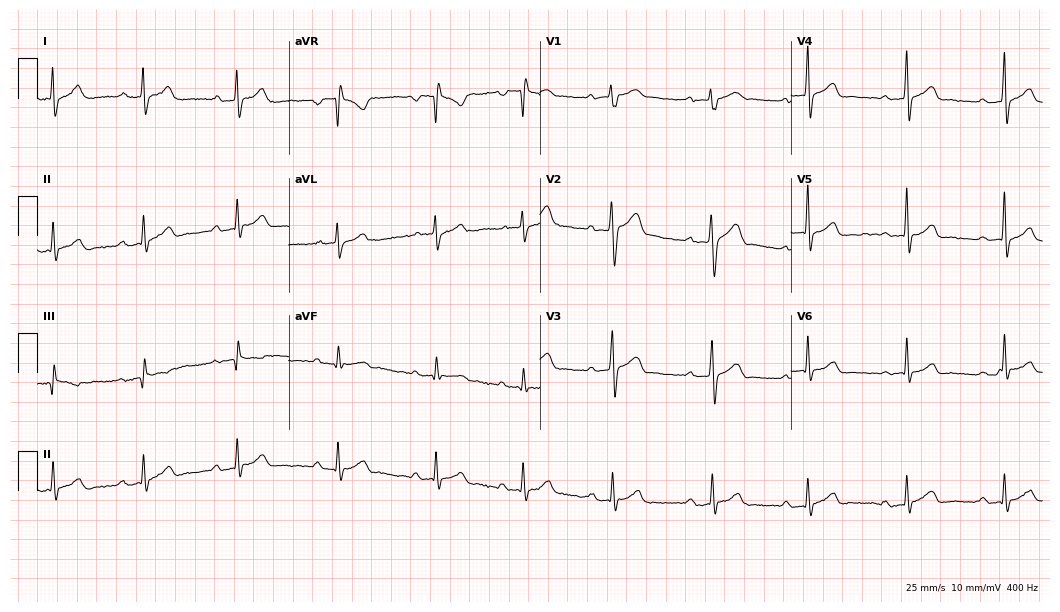
Resting 12-lead electrocardiogram. Patient: a 25-year-old male. Read as a normal ECG.